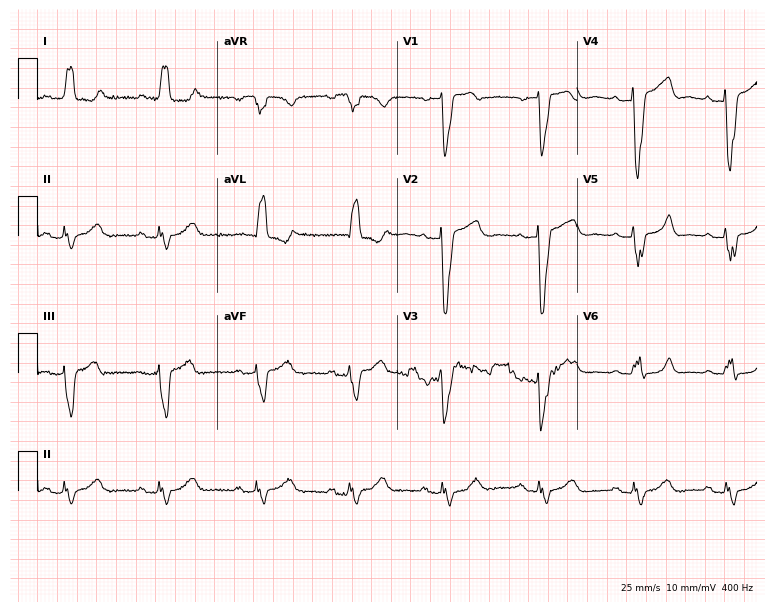
ECG (7.3-second recording at 400 Hz) — a 73-year-old female patient. Findings include first-degree AV block, left bundle branch block.